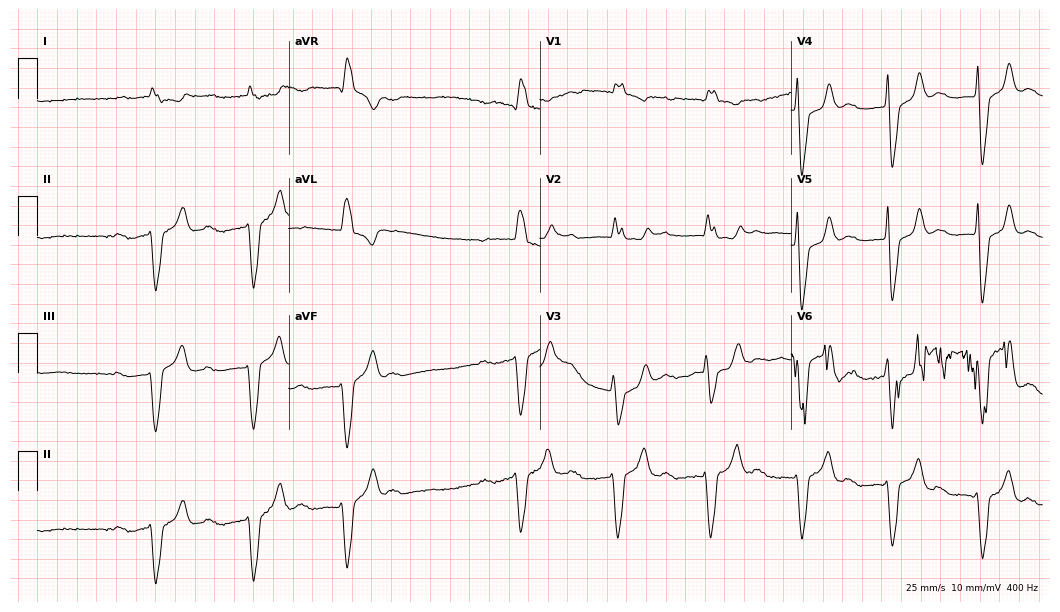
Resting 12-lead electrocardiogram. Patient: a man, 83 years old. The tracing shows right bundle branch block, atrial fibrillation.